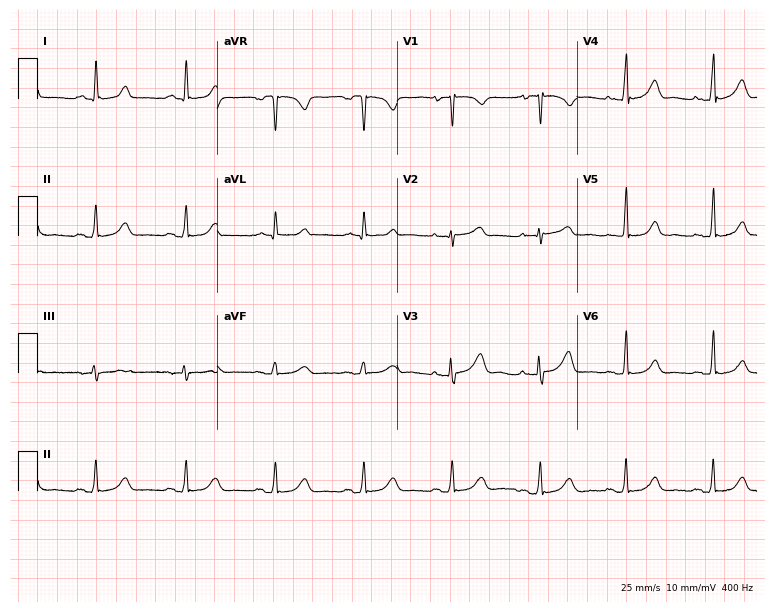
Standard 12-lead ECG recorded from a 23-year-old female patient (7.3-second recording at 400 Hz). Read as a normal ECG.